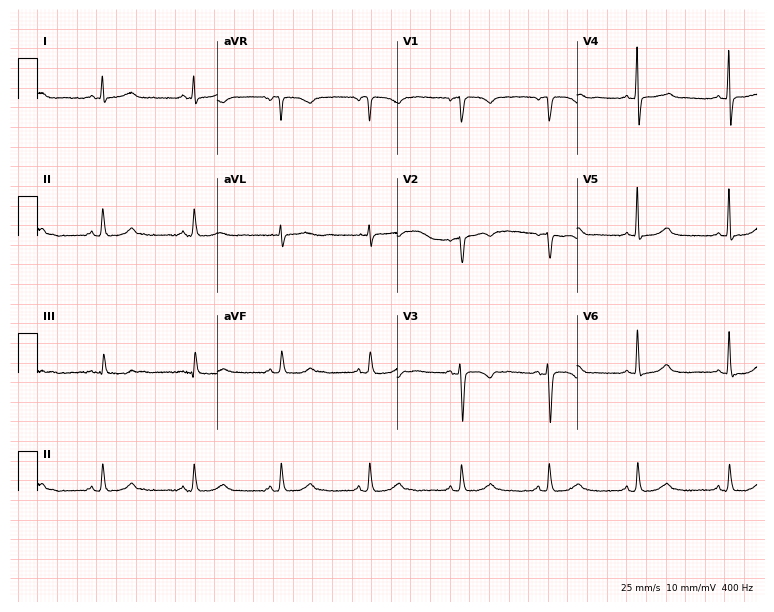
12-lead ECG (7.3-second recording at 400 Hz) from a 54-year-old woman. Screened for six findings — first-degree AV block, right bundle branch block, left bundle branch block, sinus bradycardia, atrial fibrillation, sinus tachycardia — none is recorded. Other findings, if any, are not listed.